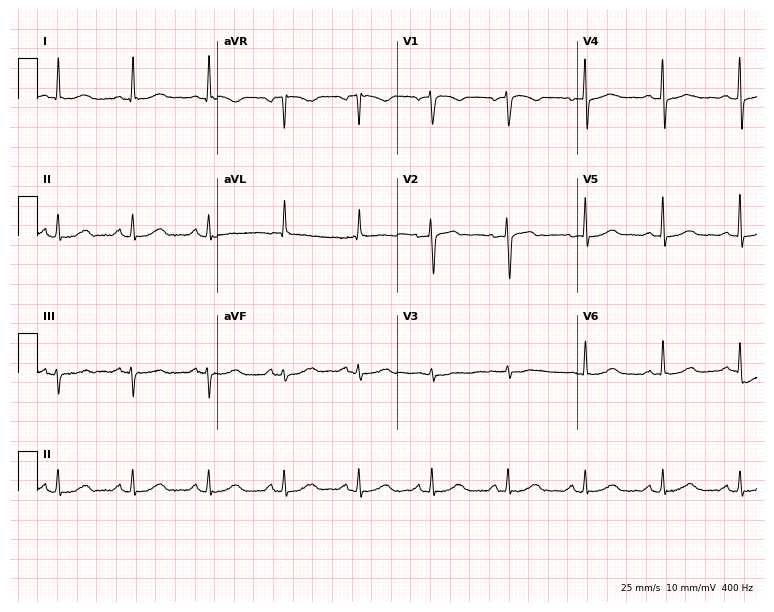
Standard 12-lead ECG recorded from a 51-year-old woman (7.3-second recording at 400 Hz). Read as a normal ECG.